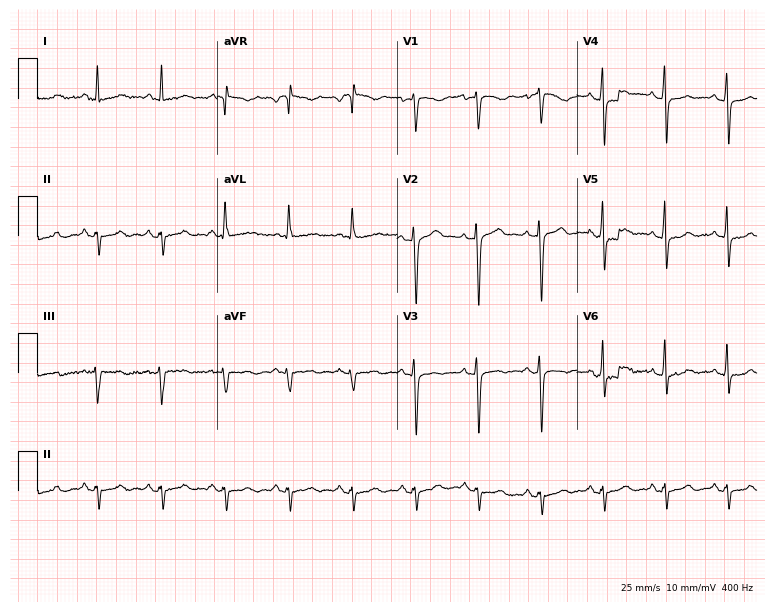
12-lead ECG from a 59-year-old female patient. Screened for six findings — first-degree AV block, right bundle branch block, left bundle branch block, sinus bradycardia, atrial fibrillation, sinus tachycardia — none is recorded.